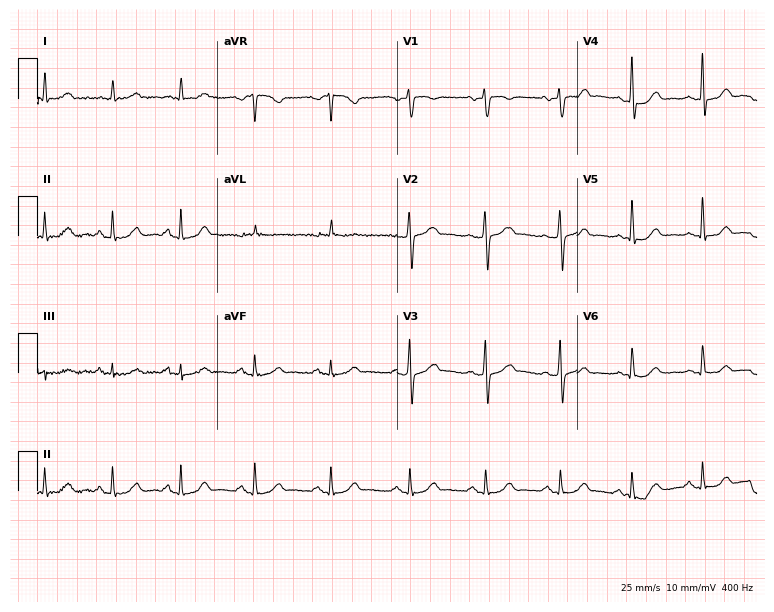
Resting 12-lead electrocardiogram (7.3-second recording at 400 Hz). Patient: a 44-year-old male. Read as a normal ECG.